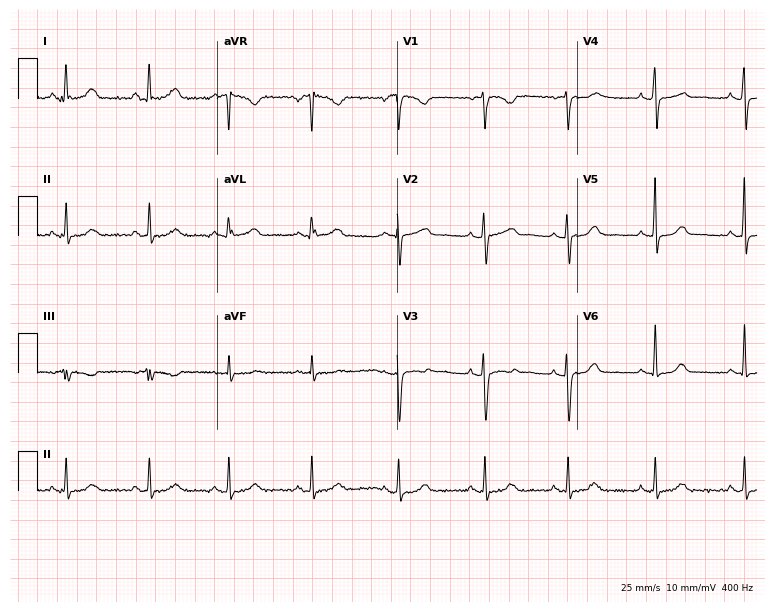
ECG (7.3-second recording at 400 Hz) — a female, 40 years old. Screened for six findings — first-degree AV block, right bundle branch block, left bundle branch block, sinus bradycardia, atrial fibrillation, sinus tachycardia — none is recorded.